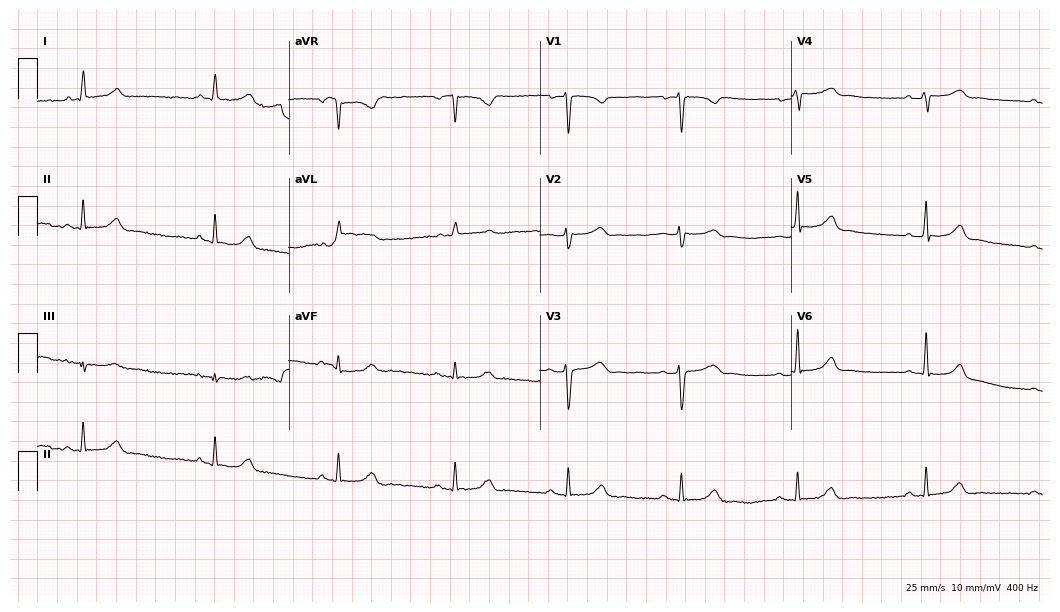
12-lead ECG from a female patient, 36 years old. Labelled as a normal ECG.